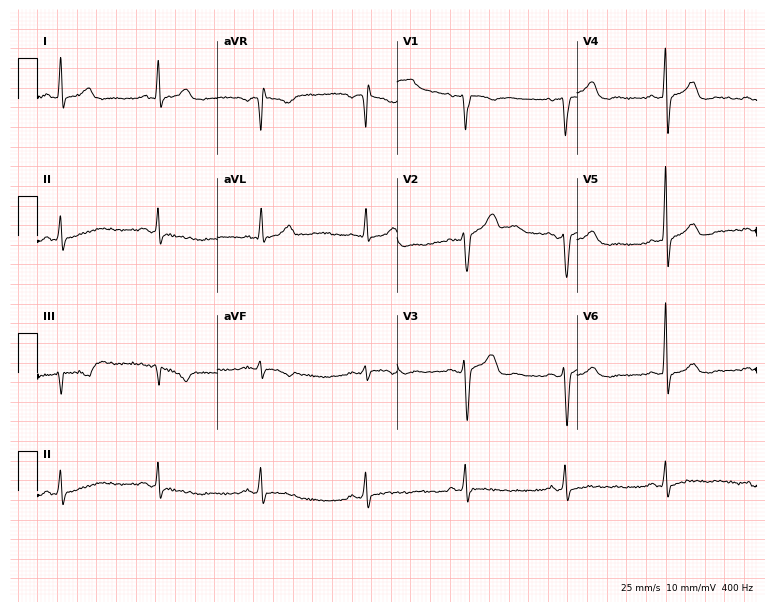
12-lead ECG from a male, 48 years old. Screened for six findings — first-degree AV block, right bundle branch block, left bundle branch block, sinus bradycardia, atrial fibrillation, sinus tachycardia — none is recorded. Other findings, if any, are not listed.